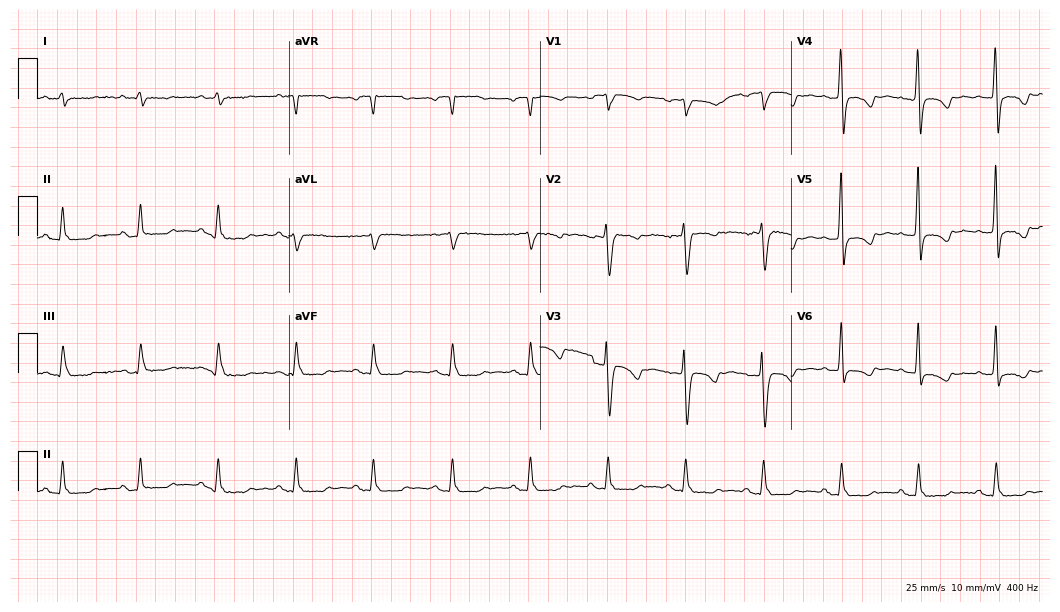
Resting 12-lead electrocardiogram. Patient: a 55-year-old male. None of these six findings is recorded: first-degree AV block, right bundle branch block, left bundle branch block, sinus bradycardia, atrial fibrillation, sinus tachycardia. Other findings, if any, are not listed.